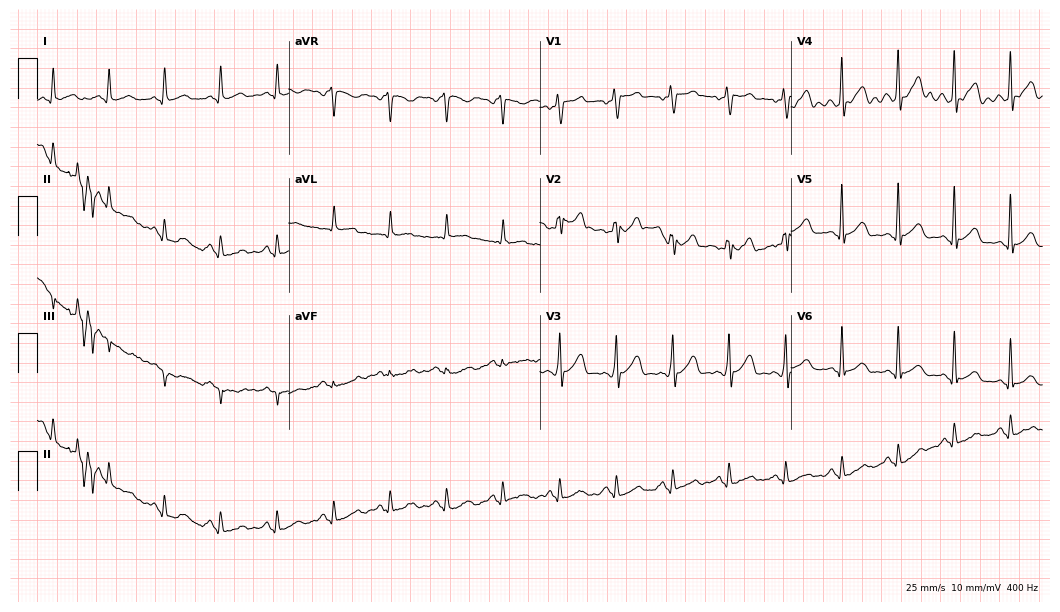
12-lead ECG from a 47-year-old man. Screened for six findings — first-degree AV block, right bundle branch block, left bundle branch block, sinus bradycardia, atrial fibrillation, sinus tachycardia — none is recorded. Findings outside these six are not listed.